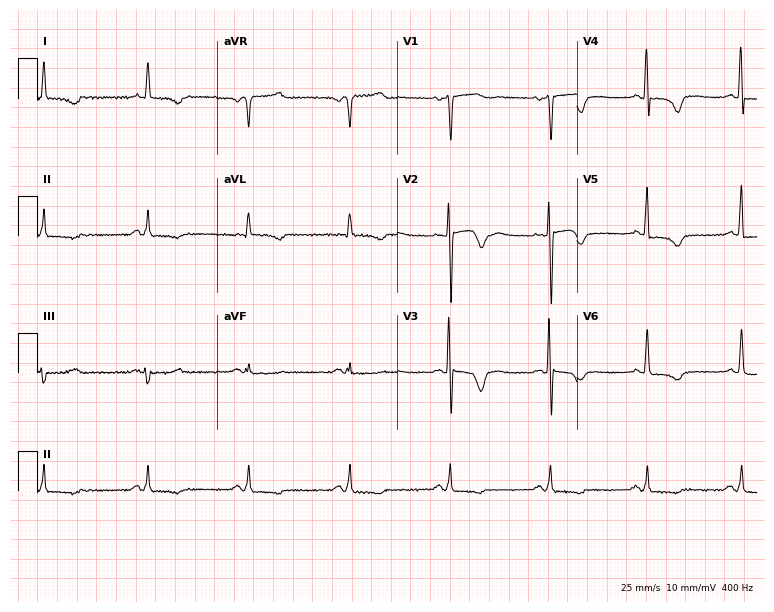
12-lead ECG (7.3-second recording at 400 Hz) from a 71-year-old female patient. Screened for six findings — first-degree AV block, right bundle branch block (RBBB), left bundle branch block (LBBB), sinus bradycardia, atrial fibrillation (AF), sinus tachycardia — none is recorded.